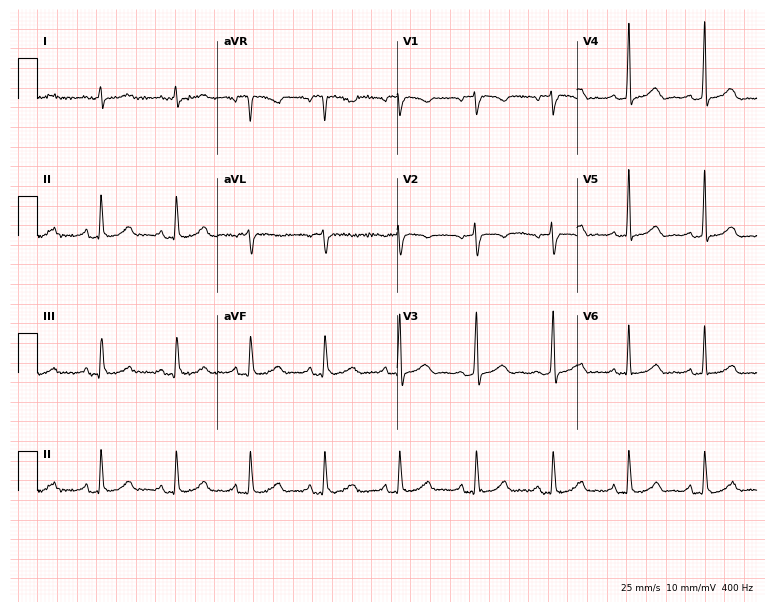
12-lead ECG from a female patient, 55 years old. No first-degree AV block, right bundle branch block (RBBB), left bundle branch block (LBBB), sinus bradycardia, atrial fibrillation (AF) or sinus tachycardia recorded for this tracing. Other findings, if any, are not listed.